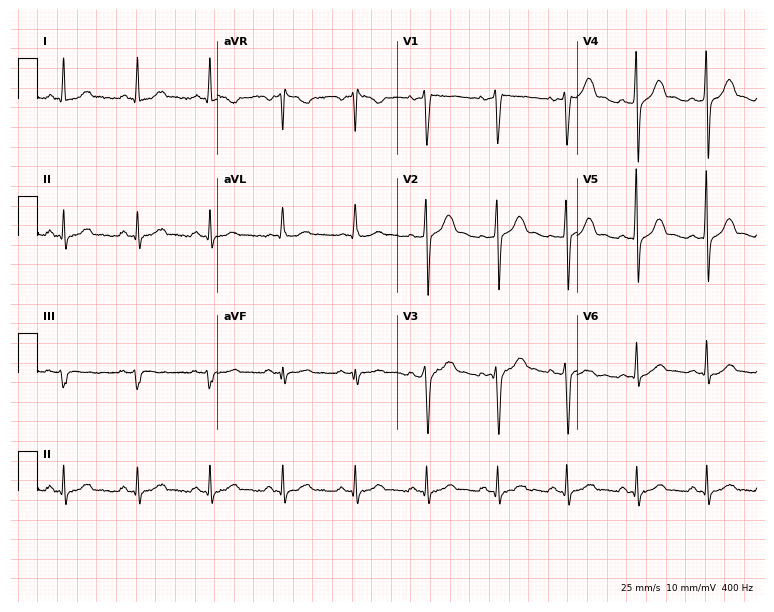
ECG (7.3-second recording at 400 Hz) — a male, 43 years old. Labelled as a normal ECG.